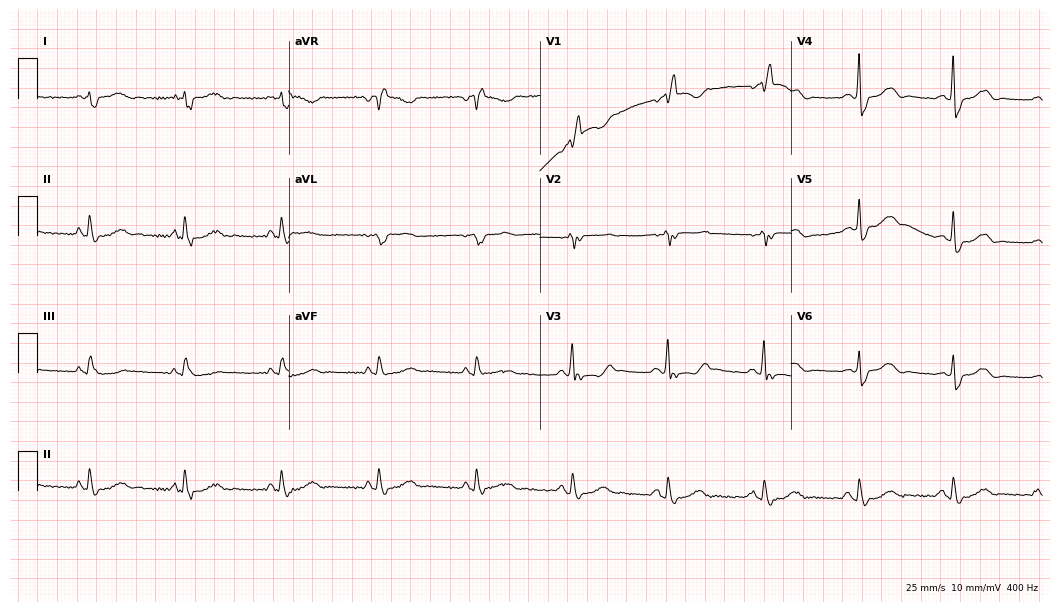
ECG — a 75-year-old woman. Screened for six findings — first-degree AV block, right bundle branch block (RBBB), left bundle branch block (LBBB), sinus bradycardia, atrial fibrillation (AF), sinus tachycardia — none is recorded. Other findings, if any, are not listed.